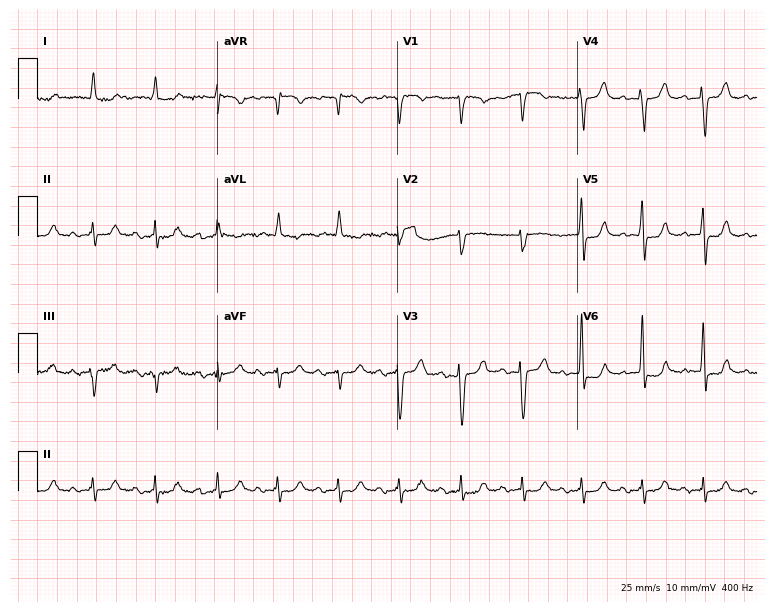
Electrocardiogram, a male patient, 79 years old. Of the six screened findings (first-degree AV block, right bundle branch block, left bundle branch block, sinus bradycardia, atrial fibrillation, sinus tachycardia), none is recorded. Other findings, if any, are not listed.